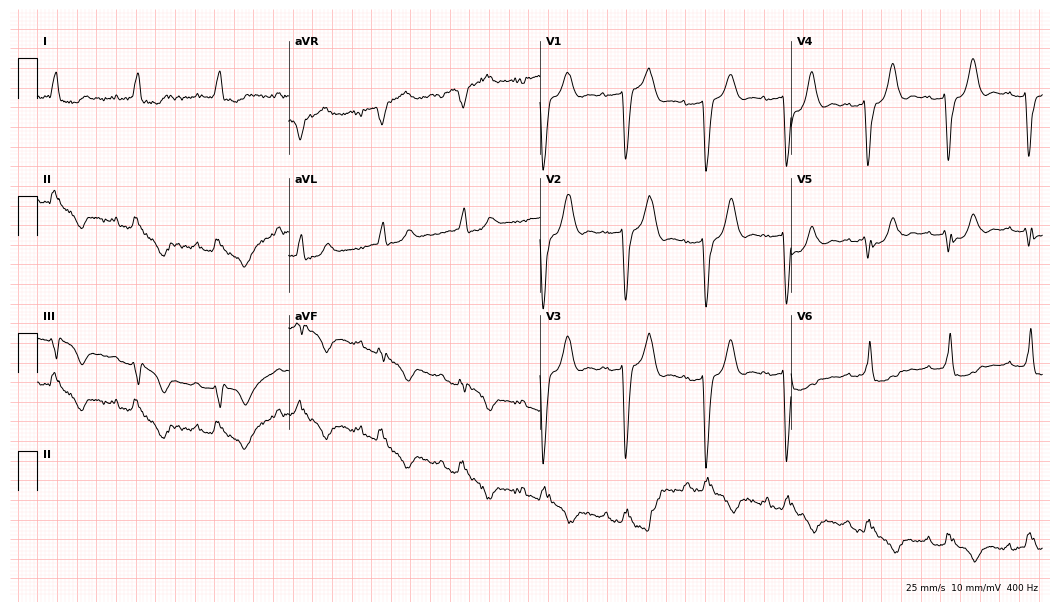
12-lead ECG from a male, 84 years old. Shows left bundle branch block.